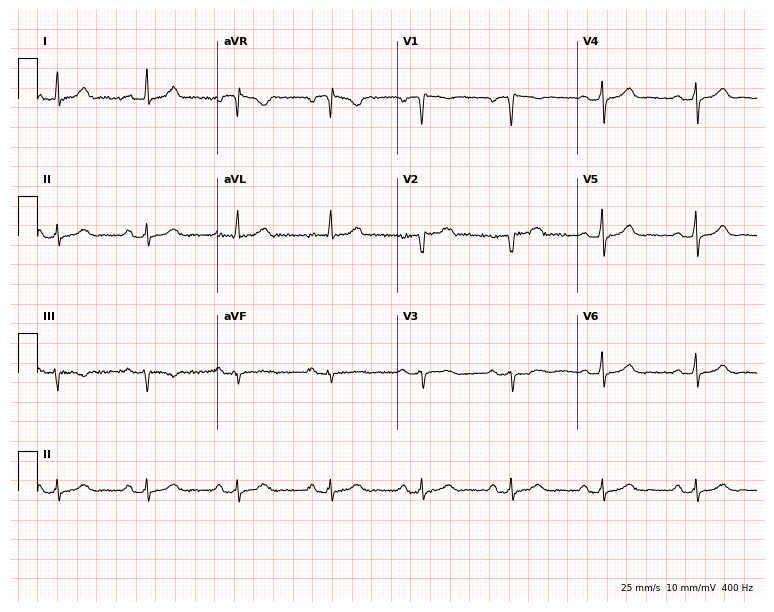
Resting 12-lead electrocardiogram. Patient: a female, 58 years old. None of these six findings is recorded: first-degree AV block, right bundle branch block, left bundle branch block, sinus bradycardia, atrial fibrillation, sinus tachycardia. Findings outside these six are not listed.